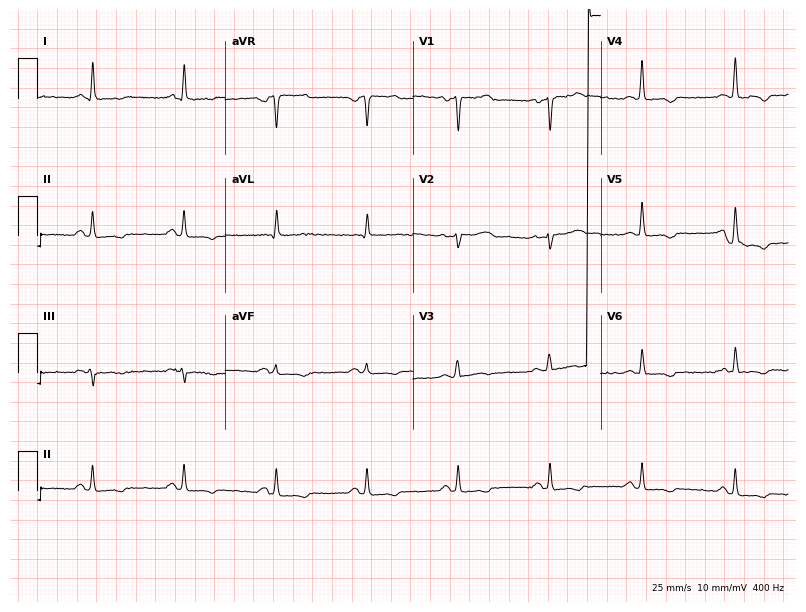
Resting 12-lead electrocardiogram. Patient: a 47-year-old woman. None of these six findings is recorded: first-degree AV block, right bundle branch block, left bundle branch block, sinus bradycardia, atrial fibrillation, sinus tachycardia.